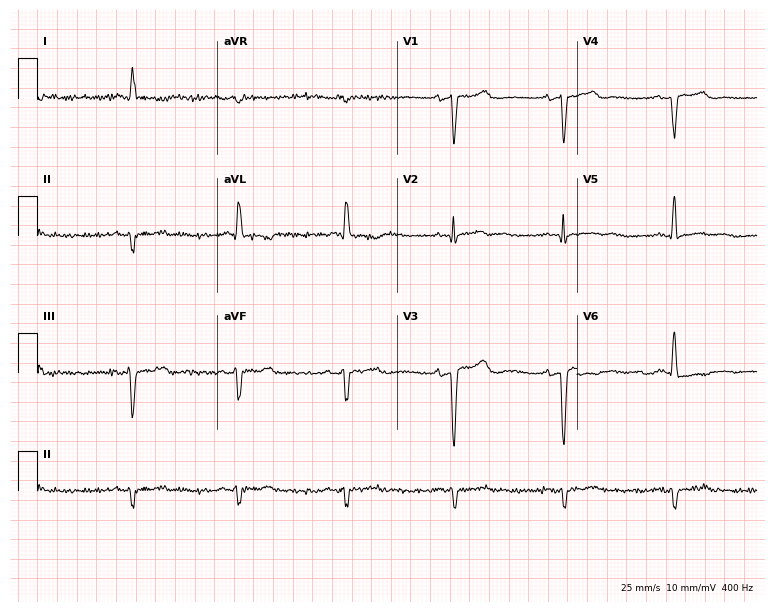
12-lead ECG from a 78-year-old female. No first-degree AV block, right bundle branch block, left bundle branch block, sinus bradycardia, atrial fibrillation or sinus tachycardia recorded for this tracing.